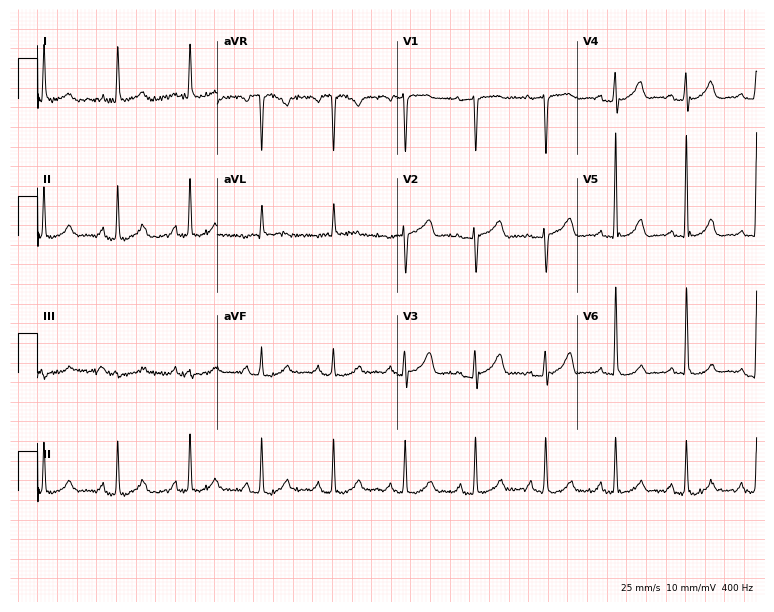
12-lead ECG from a female, 75 years old. Recorded interpretation: within normal limits.